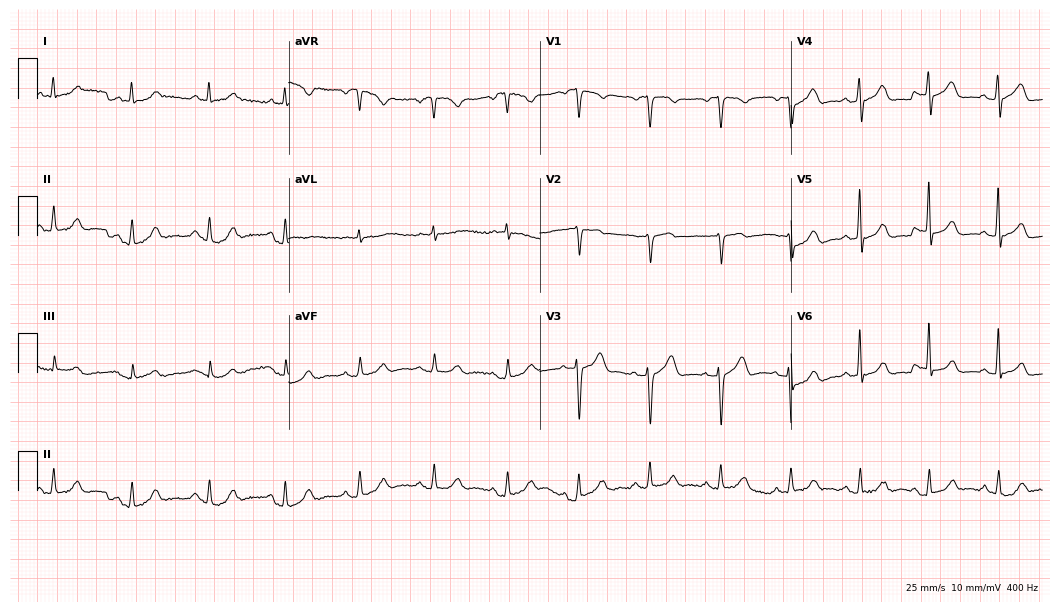
12-lead ECG from a male, 70 years old. Labelled as a normal ECG.